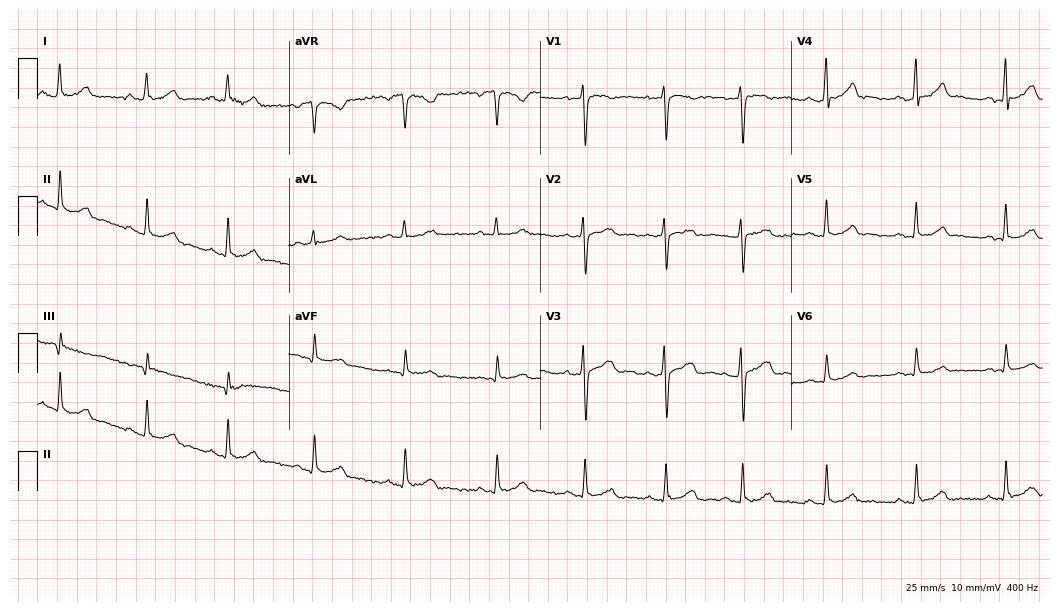
Electrocardiogram, a female patient, 24 years old. Overall reading on record: normal ECG.